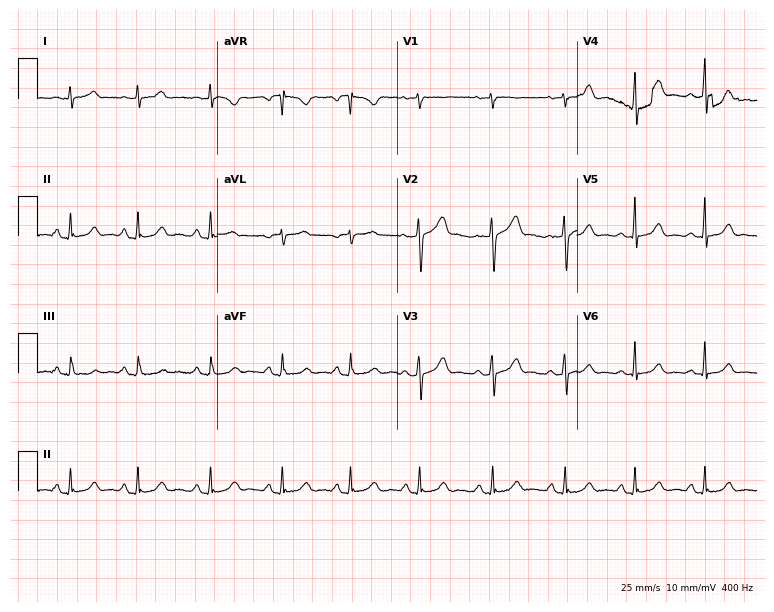
Electrocardiogram (7.3-second recording at 400 Hz), a female, 35 years old. Overall reading on record: normal ECG.